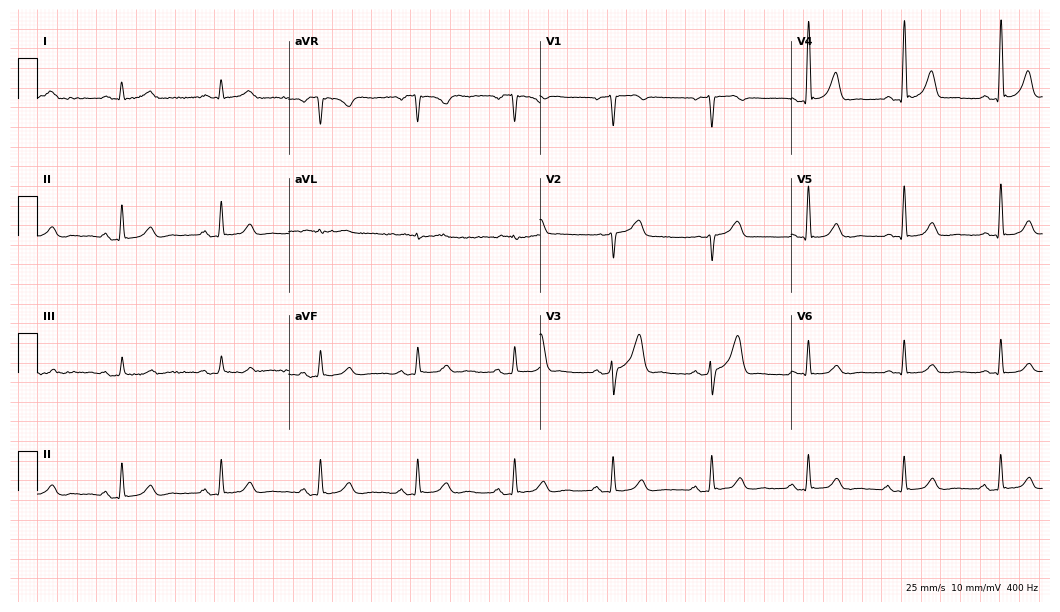
12-lead ECG (10.2-second recording at 400 Hz) from a 61-year-old male patient. Labelled as a normal ECG.